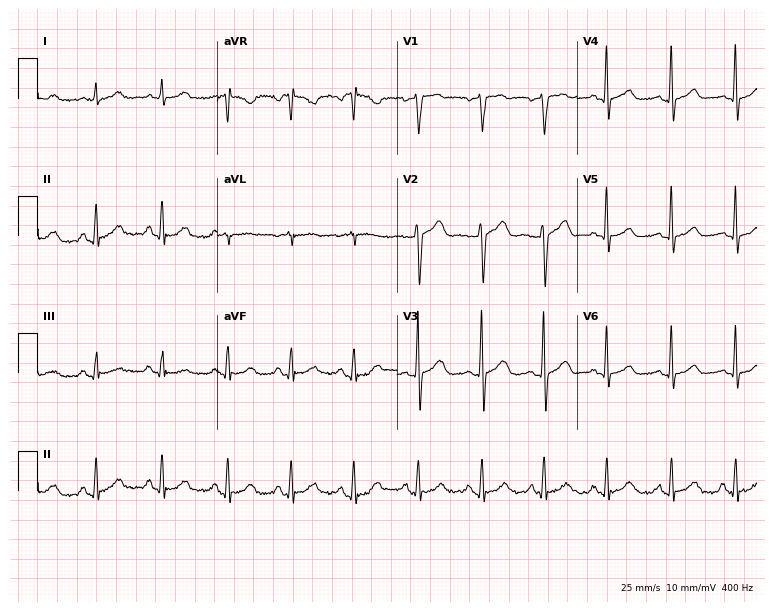
12-lead ECG (7.3-second recording at 400 Hz) from a 58-year-old man. Labelled as a normal ECG.